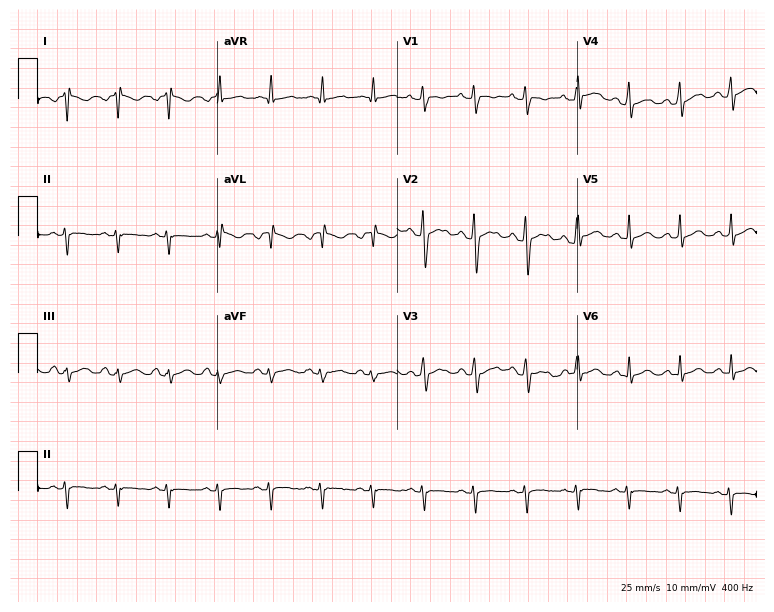
Standard 12-lead ECG recorded from a 26-year-old man. None of these six findings is recorded: first-degree AV block, right bundle branch block, left bundle branch block, sinus bradycardia, atrial fibrillation, sinus tachycardia. Findings outside these six are not listed.